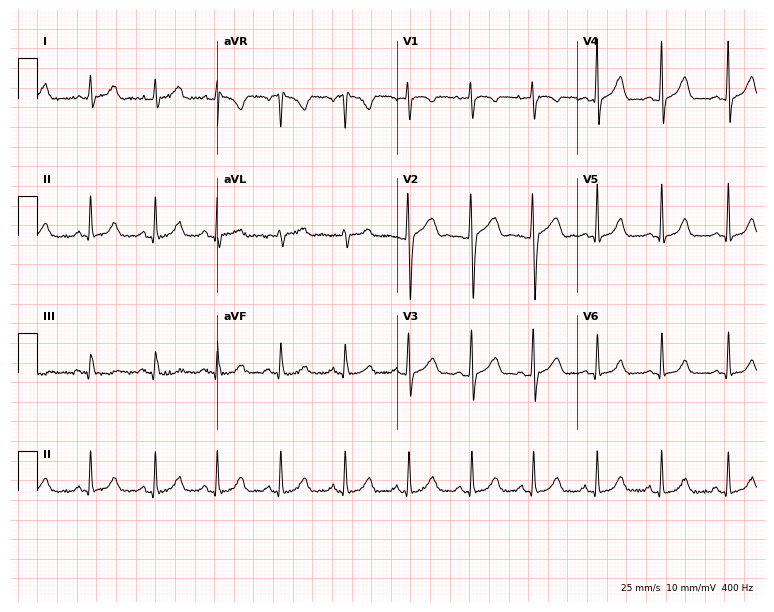
ECG (7.3-second recording at 400 Hz) — a female, 34 years old. Labelled as a normal ECG.